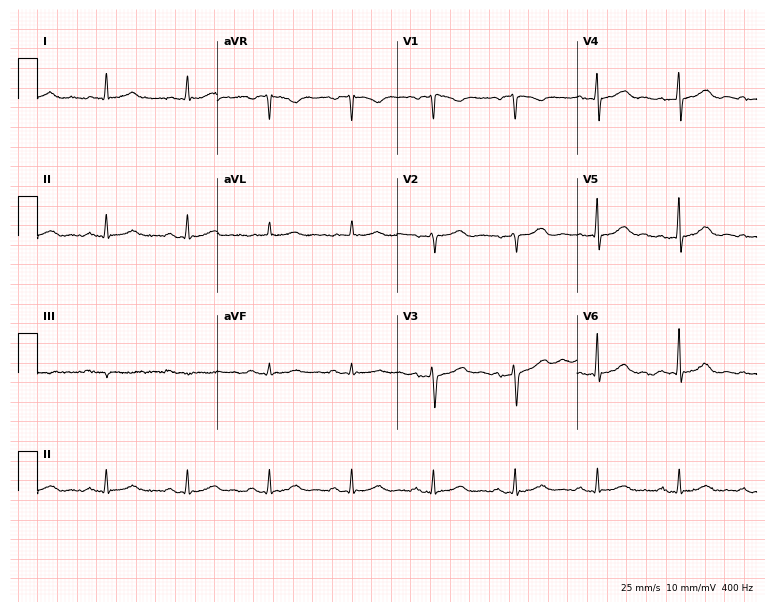
Electrocardiogram (7.3-second recording at 400 Hz), a male patient, 65 years old. Overall reading on record: normal ECG.